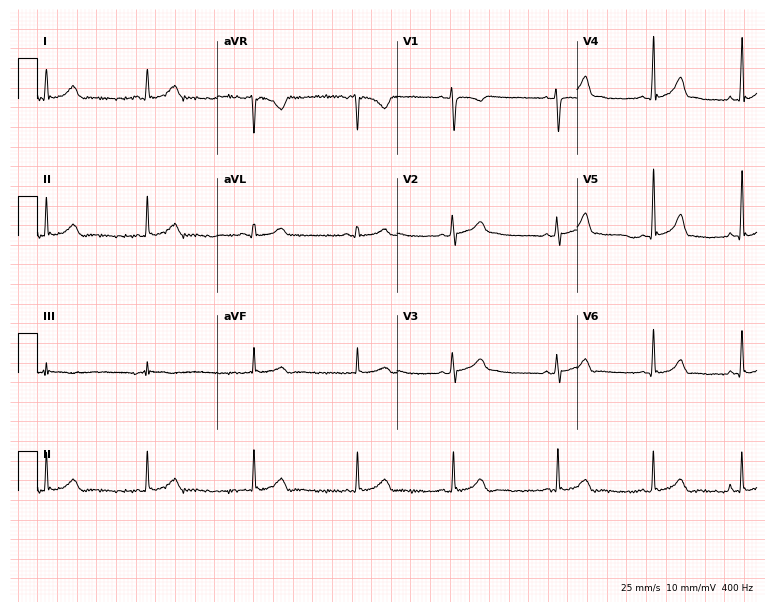
12-lead ECG from a woman, 19 years old. Recorded interpretation: within normal limits.